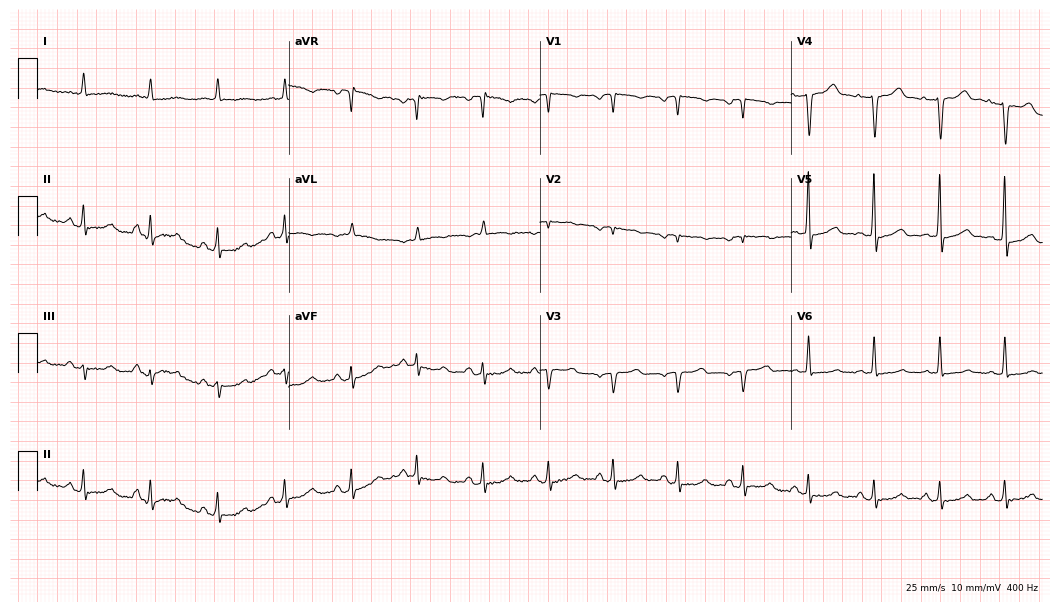
12-lead ECG from a woman, 79 years old. Labelled as a normal ECG.